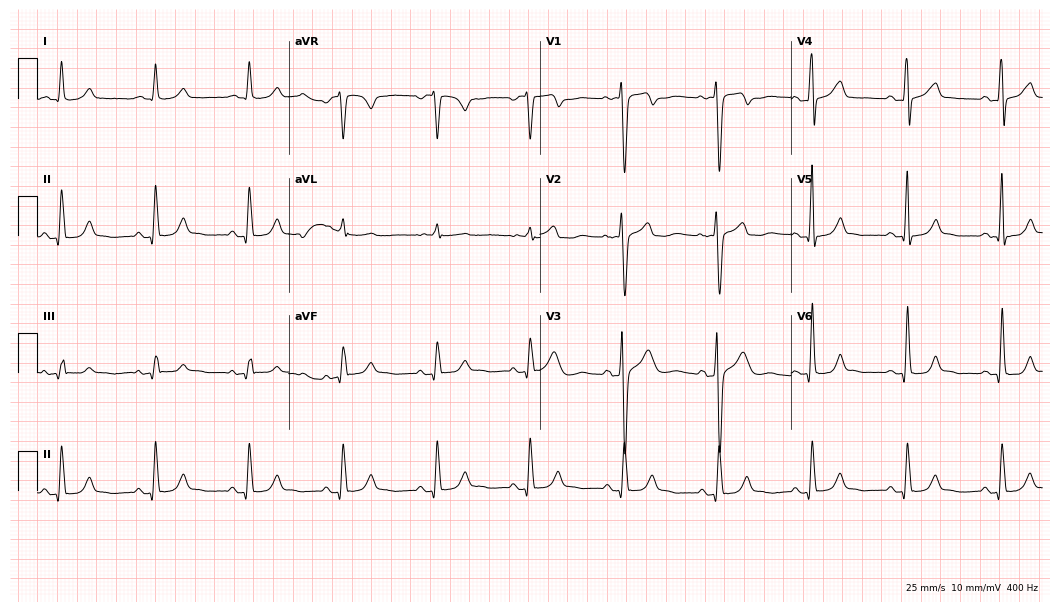
Electrocardiogram, a man, 50 years old. Overall reading on record: normal ECG.